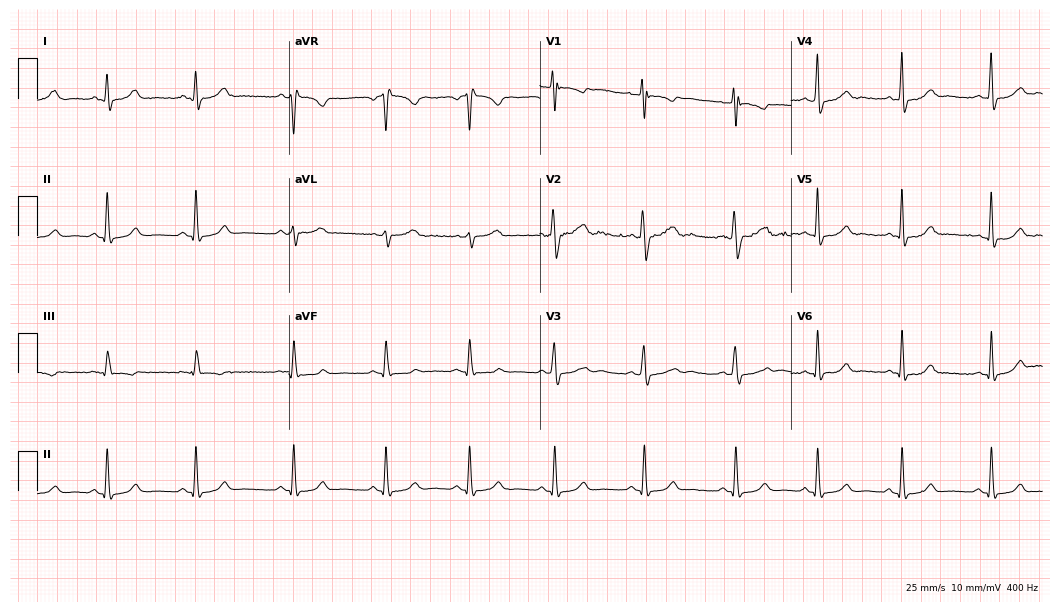
Resting 12-lead electrocardiogram (10.2-second recording at 400 Hz). Patient: a 21-year-old female. None of these six findings is recorded: first-degree AV block, right bundle branch block, left bundle branch block, sinus bradycardia, atrial fibrillation, sinus tachycardia. Only these six findings were labelled.